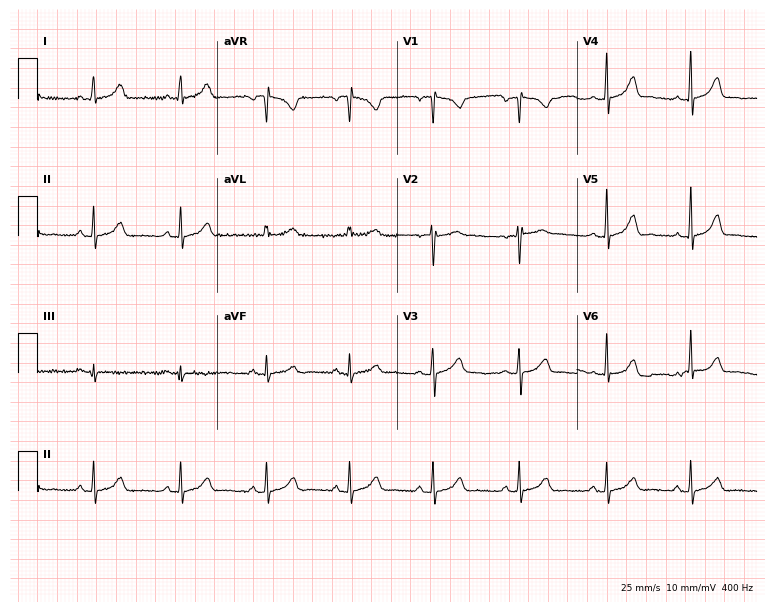
12-lead ECG from a woman, 30 years old. Recorded interpretation: within normal limits.